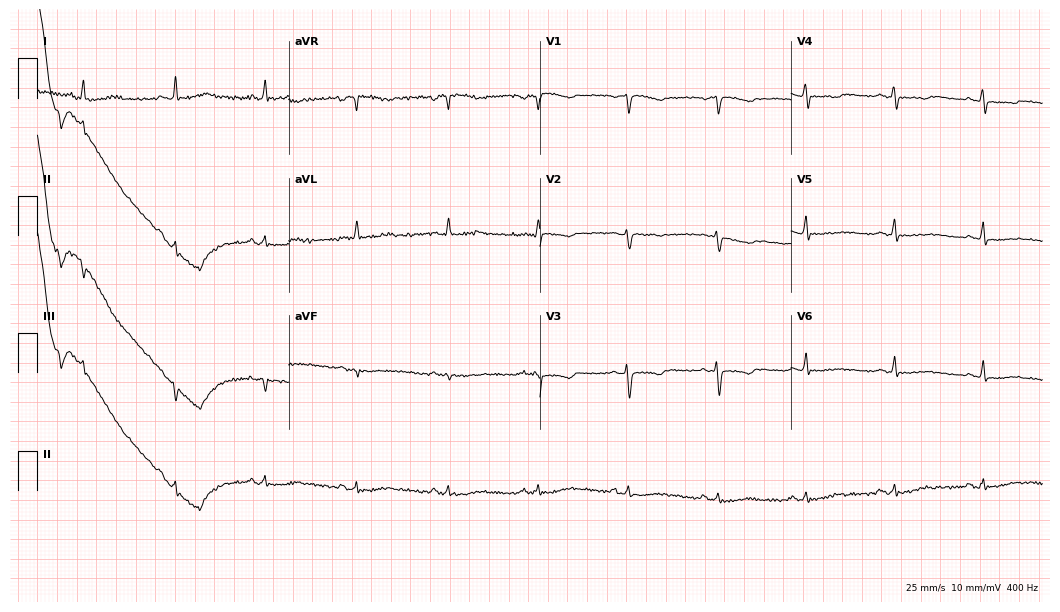
Resting 12-lead electrocardiogram. Patient: a 62-year-old female. None of these six findings is recorded: first-degree AV block, right bundle branch block, left bundle branch block, sinus bradycardia, atrial fibrillation, sinus tachycardia.